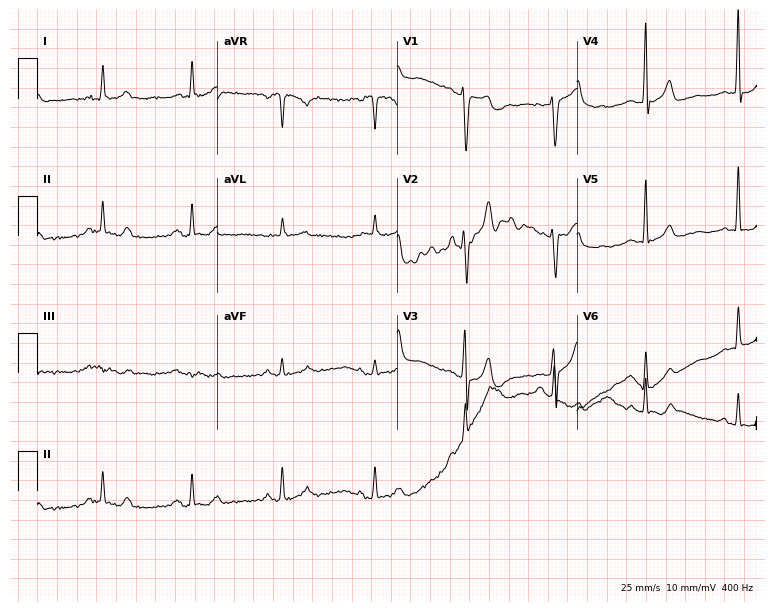
Standard 12-lead ECG recorded from a 77-year-old man. None of these six findings is recorded: first-degree AV block, right bundle branch block (RBBB), left bundle branch block (LBBB), sinus bradycardia, atrial fibrillation (AF), sinus tachycardia. Findings outside these six are not listed.